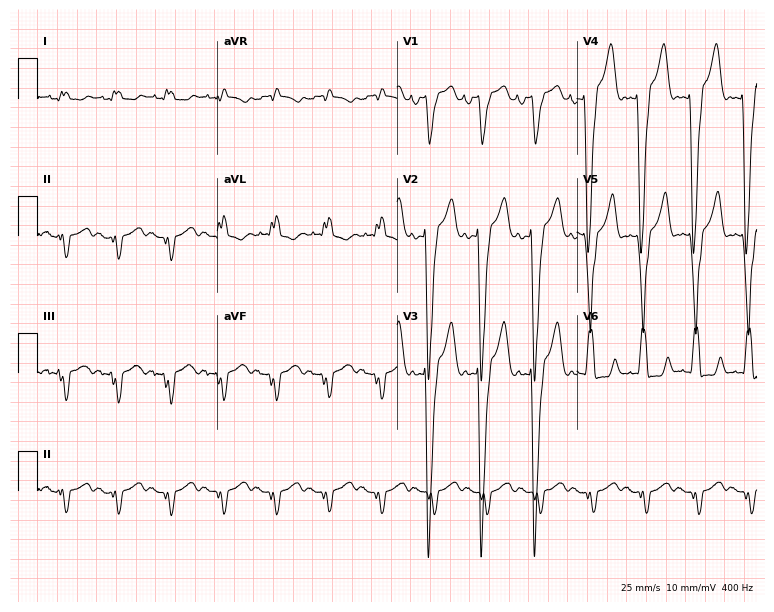
ECG — a male patient, 46 years old. Findings include left bundle branch block, sinus tachycardia (a sinus rate of 100 beats per minute or more).